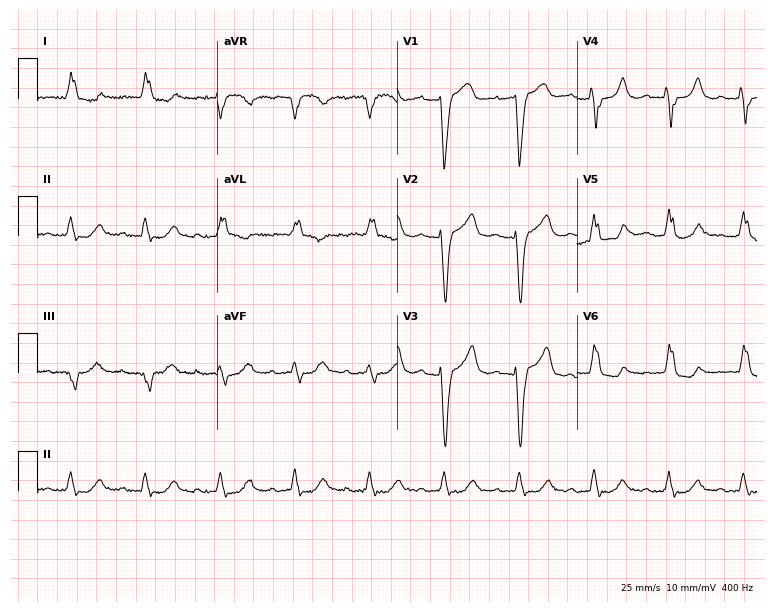
12-lead ECG (7.3-second recording at 400 Hz) from an 84-year-old male. Findings include first-degree AV block, left bundle branch block.